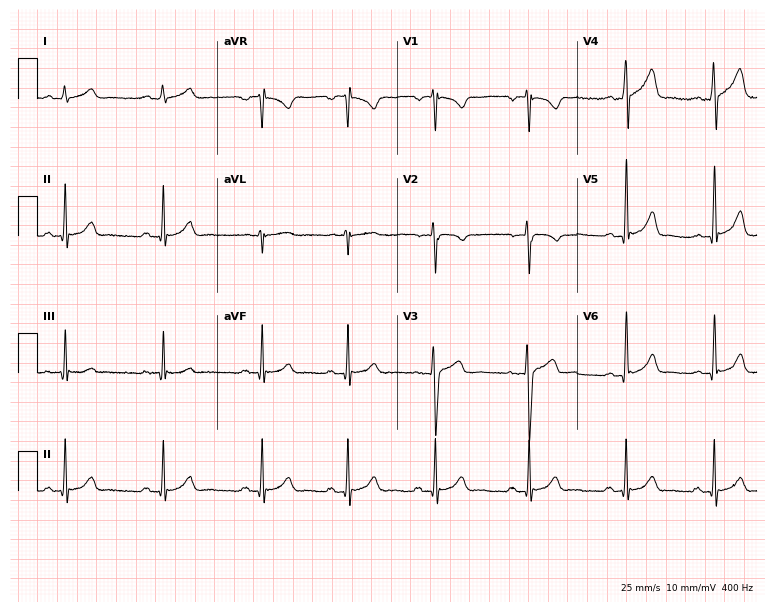
Resting 12-lead electrocardiogram (7.3-second recording at 400 Hz). Patient: a man, 17 years old. None of these six findings is recorded: first-degree AV block, right bundle branch block, left bundle branch block, sinus bradycardia, atrial fibrillation, sinus tachycardia. Other findings, if any, are not listed.